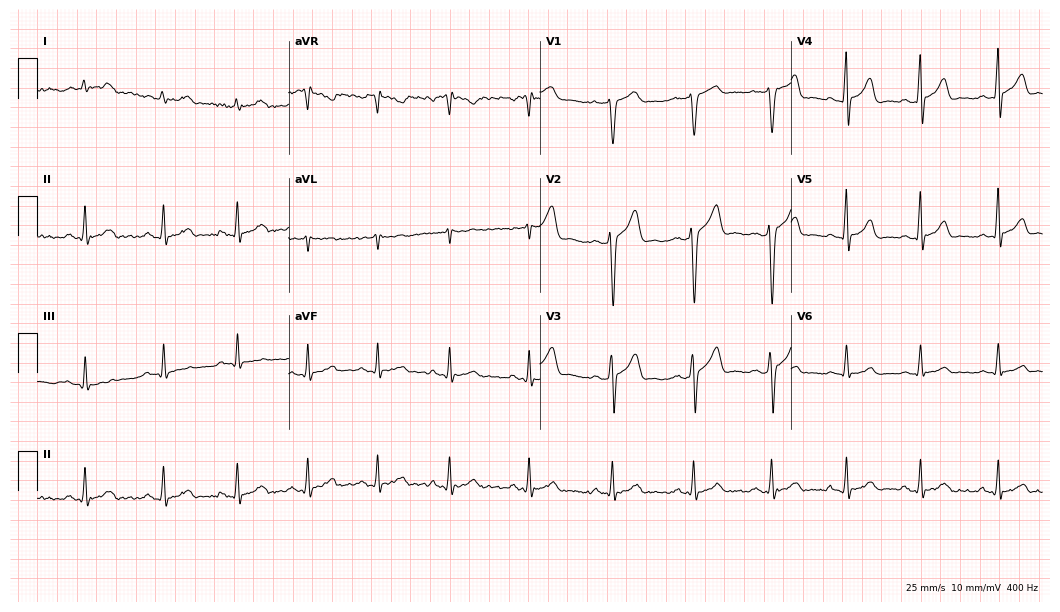
12-lead ECG from a male patient, 25 years old. Recorded interpretation: within normal limits.